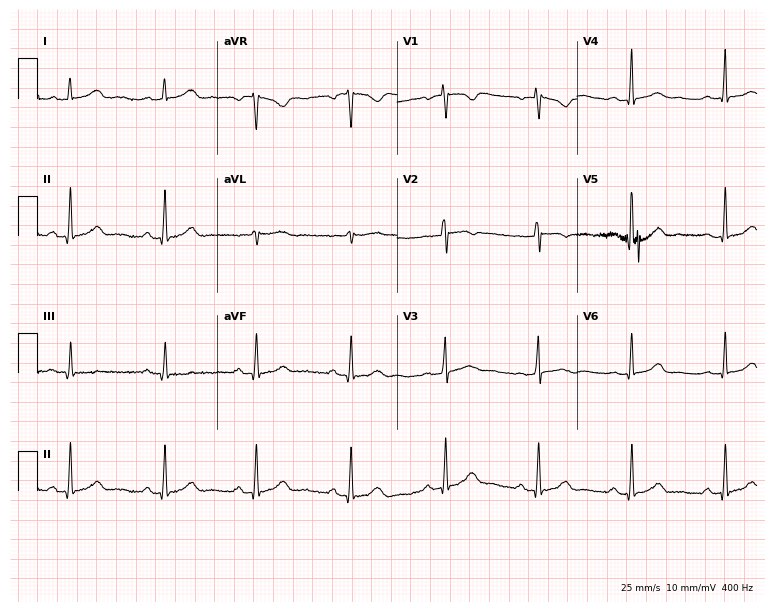
Standard 12-lead ECG recorded from a woman, 42 years old. None of these six findings is recorded: first-degree AV block, right bundle branch block (RBBB), left bundle branch block (LBBB), sinus bradycardia, atrial fibrillation (AF), sinus tachycardia. Findings outside these six are not listed.